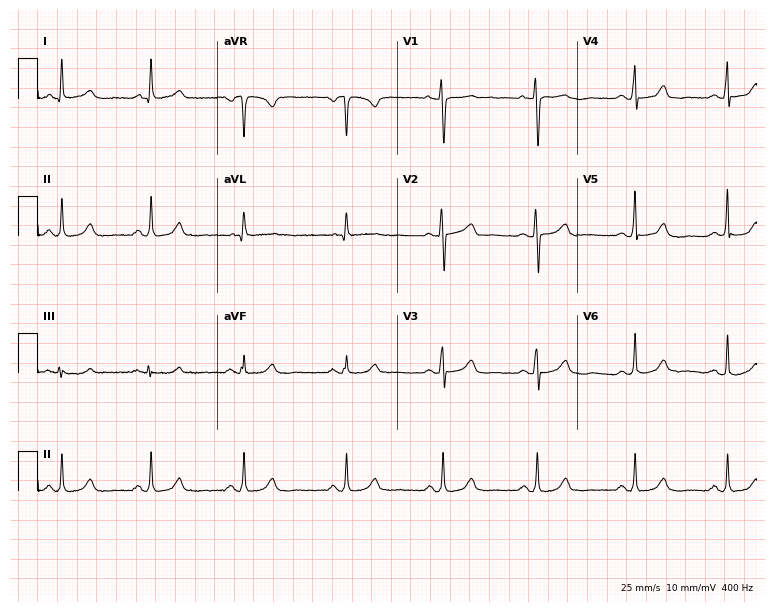
ECG — a woman, 51 years old. Labelled as a normal ECG.